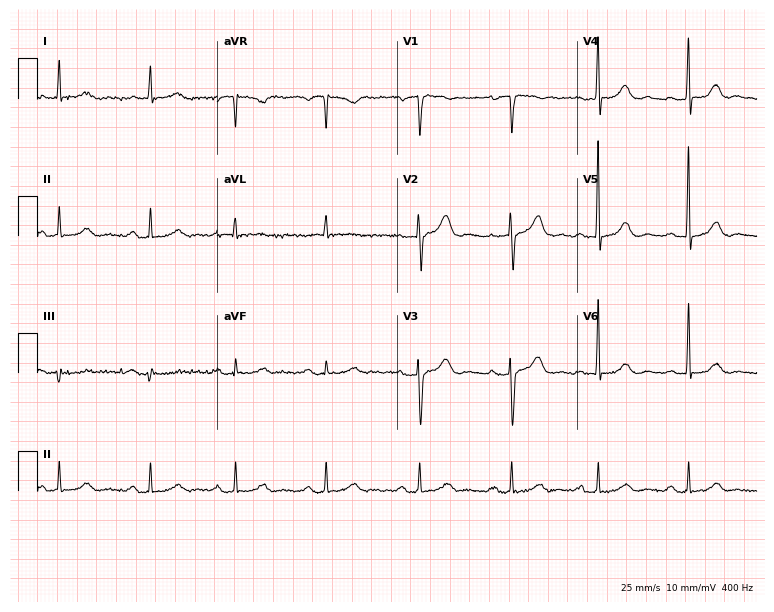
Resting 12-lead electrocardiogram. Patient: a man, 85 years old. Read as a normal ECG.